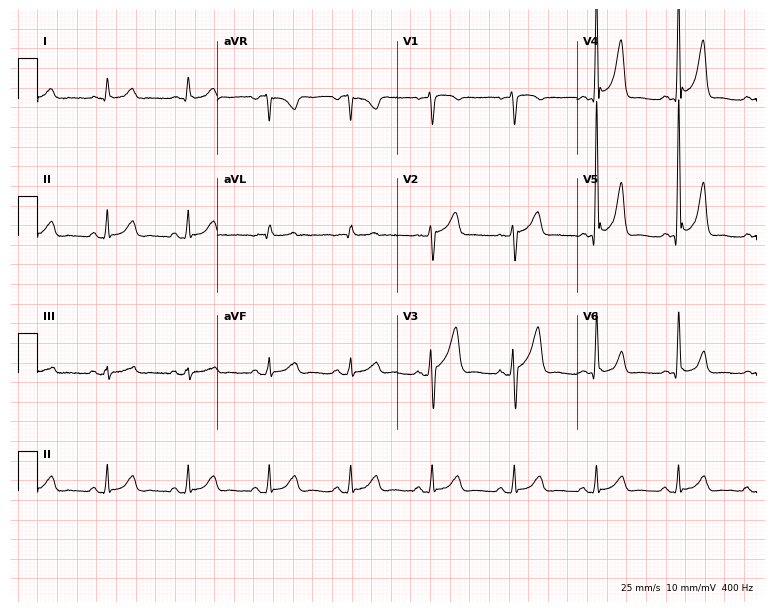
Electrocardiogram (7.3-second recording at 400 Hz), a male, 61 years old. Of the six screened findings (first-degree AV block, right bundle branch block (RBBB), left bundle branch block (LBBB), sinus bradycardia, atrial fibrillation (AF), sinus tachycardia), none is recorded. Other findings, if any, are not listed.